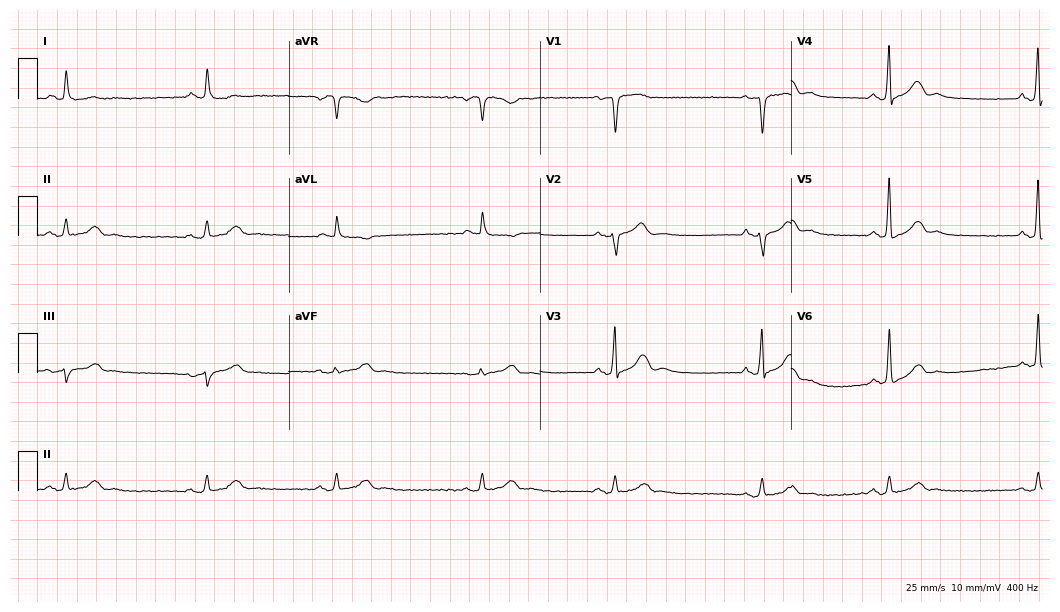
Resting 12-lead electrocardiogram (10.2-second recording at 400 Hz). Patient: a male, 74 years old. None of these six findings is recorded: first-degree AV block, right bundle branch block (RBBB), left bundle branch block (LBBB), sinus bradycardia, atrial fibrillation (AF), sinus tachycardia.